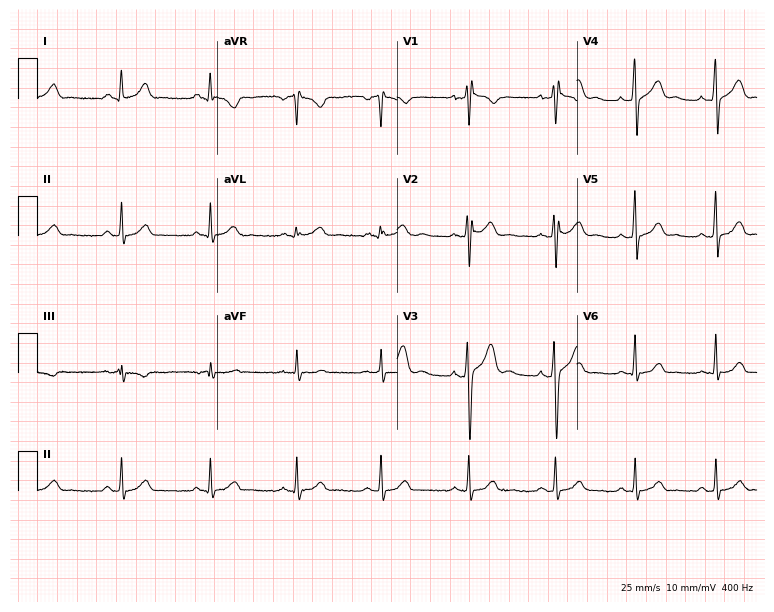
12-lead ECG from a male patient, 42 years old. Labelled as a normal ECG.